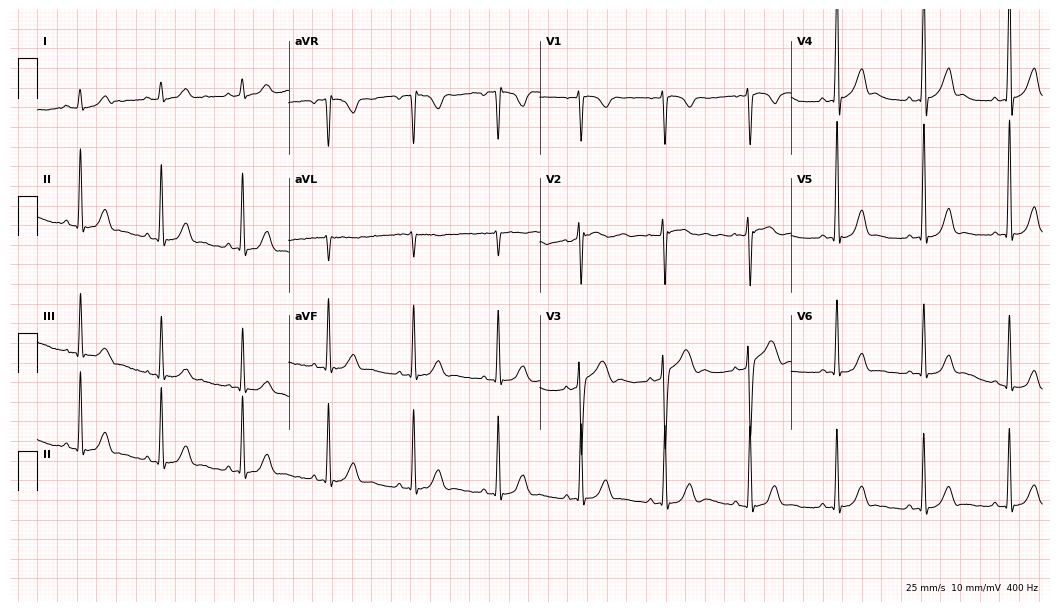
Resting 12-lead electrocardiogram (10.2-second recording at 400 Hz). Patient: a 24-year-old male. Read as a normal ECG.